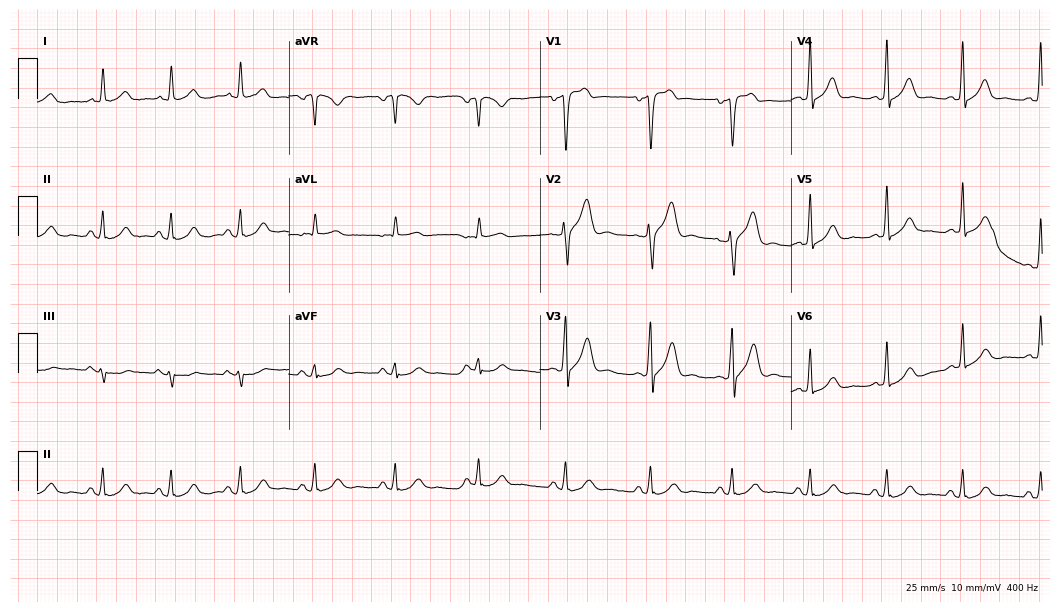
12-lead ECG from a man, 55 years old (10.2-second recording at 400 Hz). No first-degree AV block, right bundle branch block (RBBB), left bundle branch block (LBBB), sinus bradycardia, atrial fibrillation (AF) or sinus tachycardia recorded for this tracing. Only these six findings were labelled.